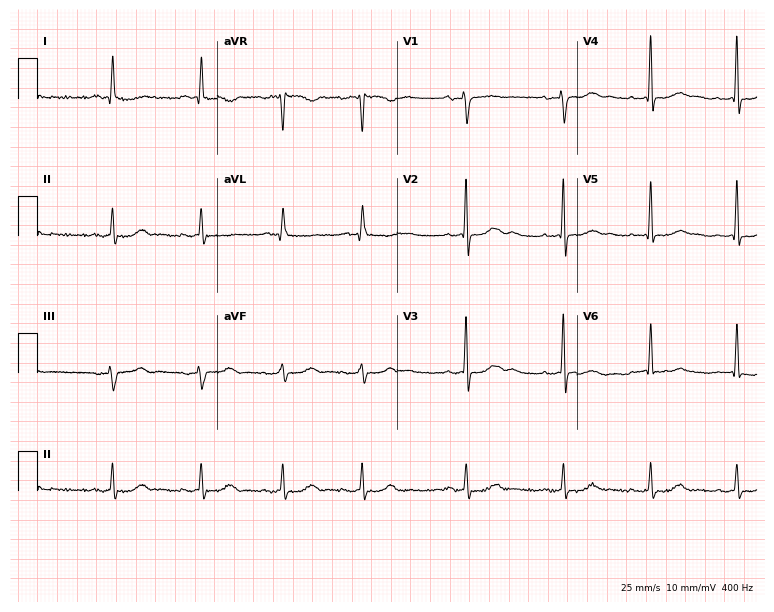
ECG (7.3-second recording at 400 Hz) — a 75-year-old female. Labelled as a normal ECG.